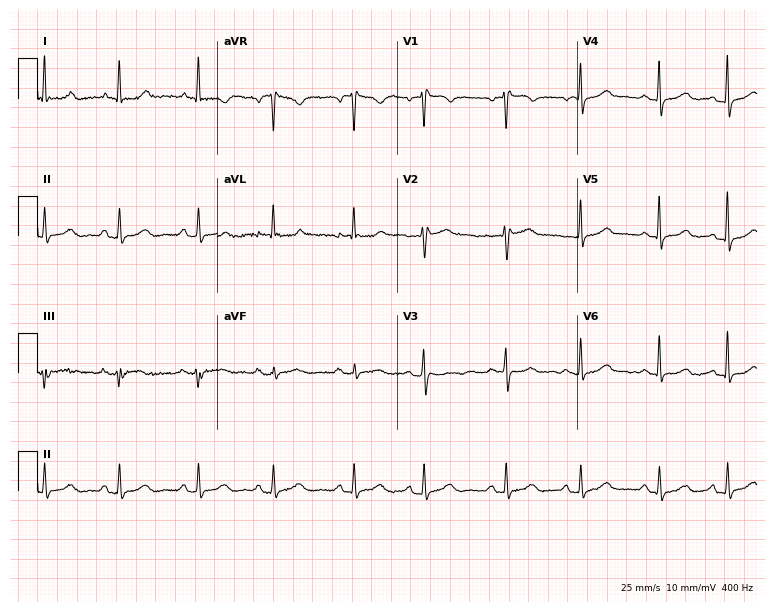
Resting 12-lead electrocardiogram (7.3-second recording at 400 Hz). Patient: a woman, 62 years old. None of these six findings is recorded: first-degree AV block, right bundle branch block, left bundle branch block, sinus bradycardia, atrial fibrillation, sinus tachycardia.